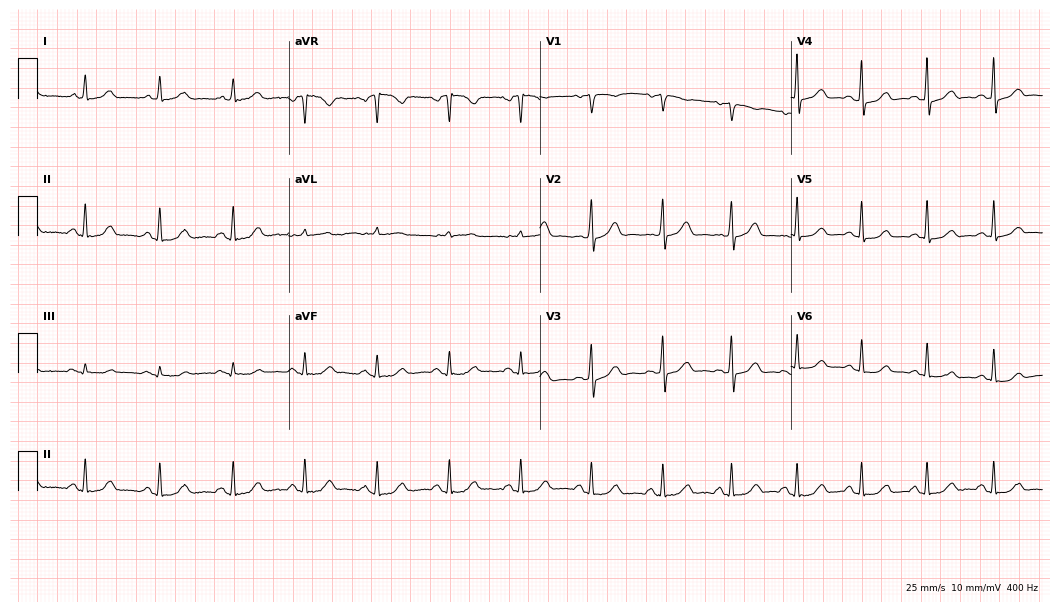
Standard 12-lead ECG recorded from a 44-year-old female. None of these six findings is recorded: first-degree AV block, right bundle branch block (RBBB), left bundle branch block (LBBB), sinus bradycardia, atrial fibrillation (AF), sinus tachycardia.